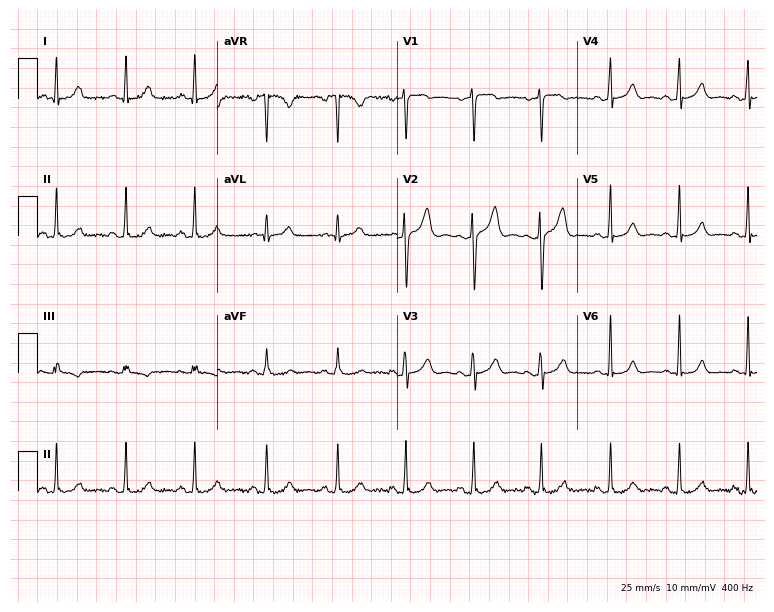
ECG (7.3-second recording at 400 Hz) — a 35-year-old female patient. Labelled as a normal ECG.